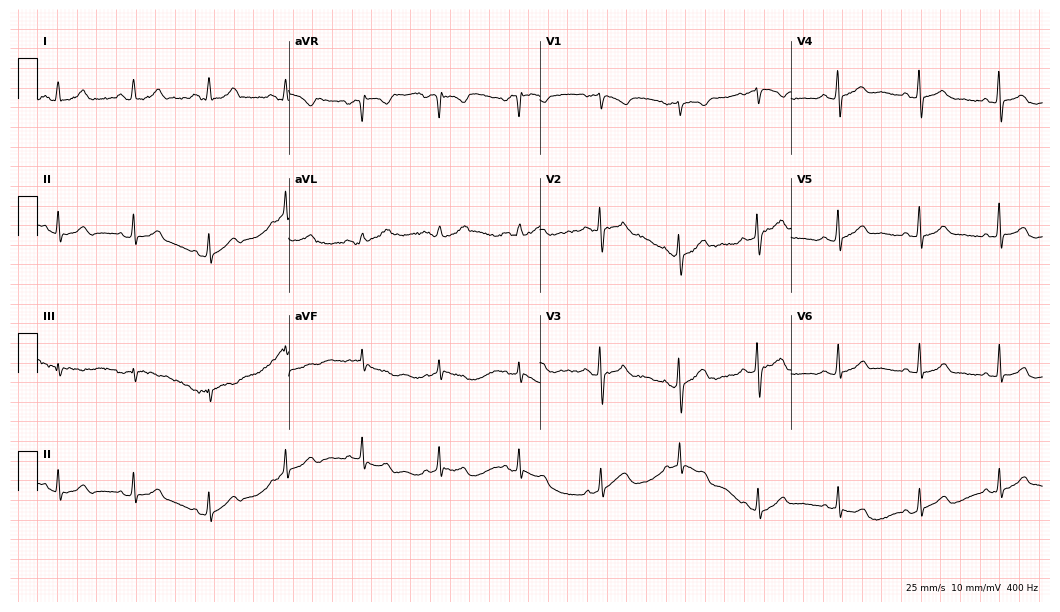
12-lead ECG (10.2-second recording at 400 Hz) from a 21-year-old female patient. Labelled as a normal ECG.